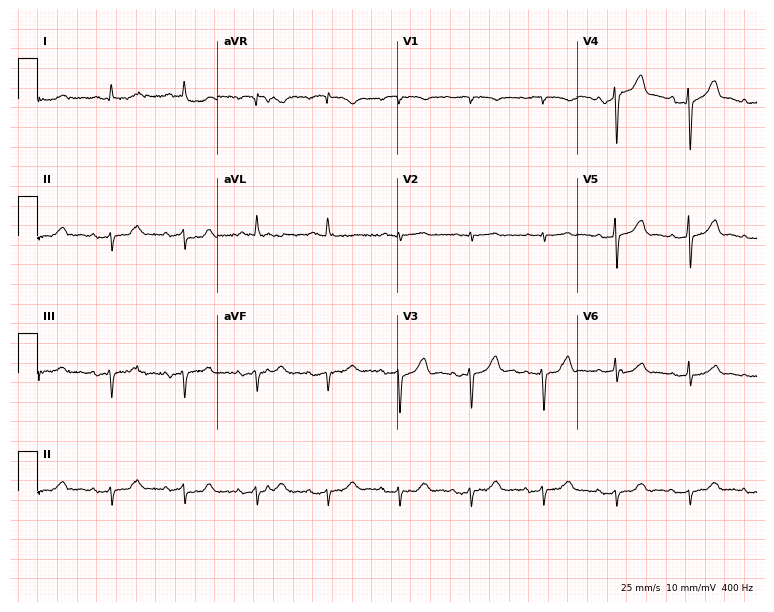
Resting 12-lead electrocardiogram. Patient: a male, 77 years old. Read as a normal ECG.